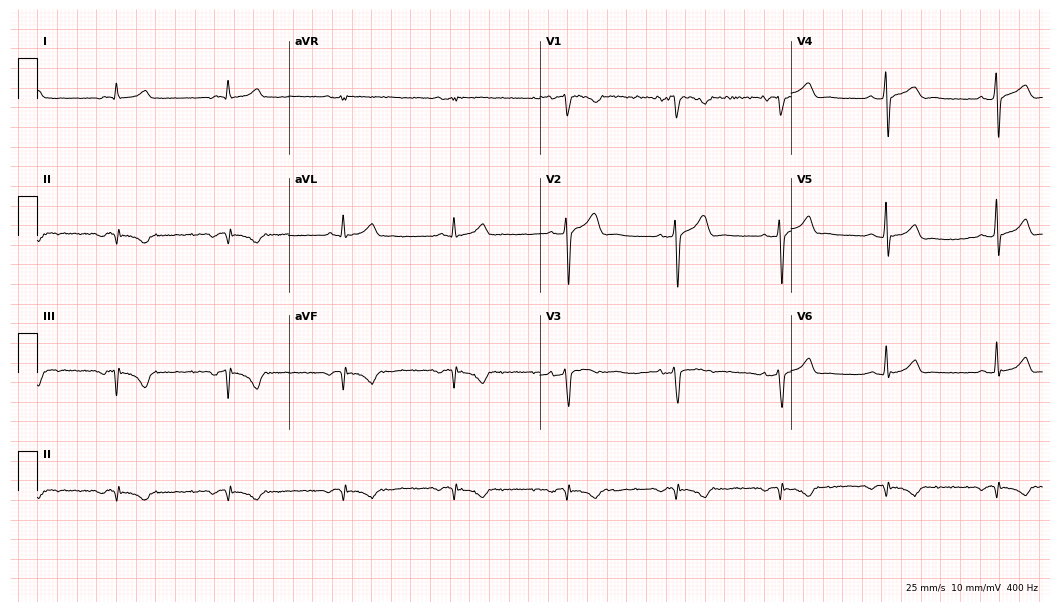
Electrocardiogram, a man, 54 years old. Of the six screened findings (first-degree AV block, right bundle branch block (RBBB), left bundle branch block (LBBB), sinus bradycardia, atrial fibrillation (AF), sinus tachycardia), none is recorded.